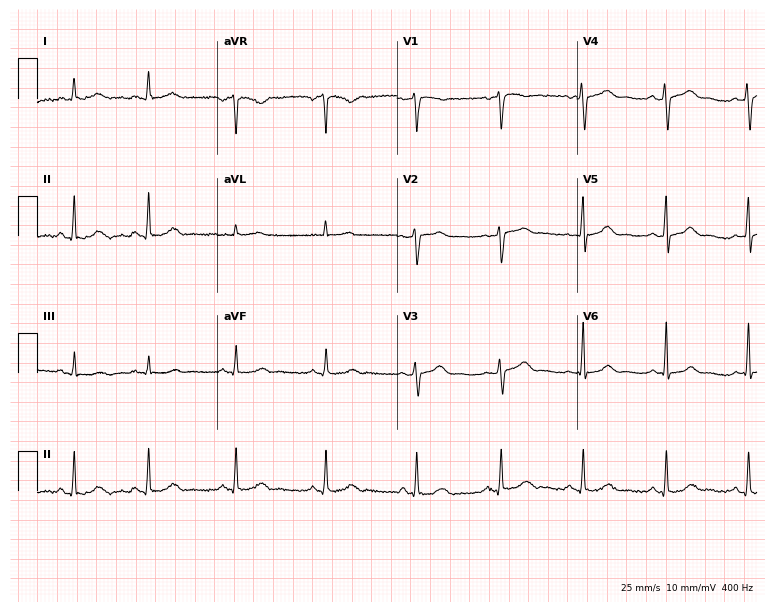
Standard 12-lead ECG recorded from a 48-year-old woman. Read as a normal ECG.